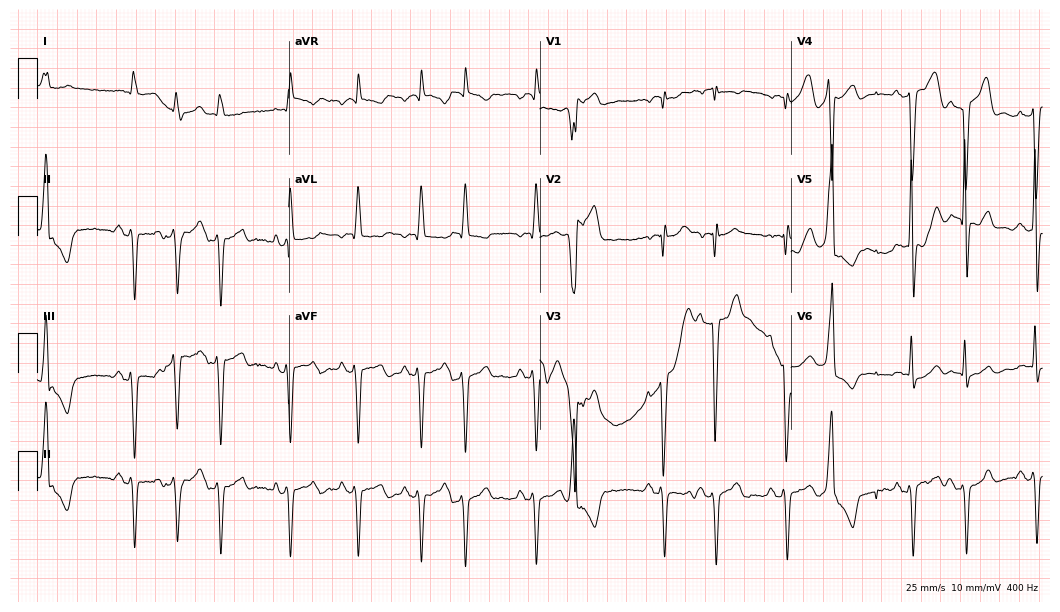
Standard 12-lead ECG recorded from a 64-year-old male patient (10.2-second recording at 400 Hz). None of these six findings is recorded: first-degree AV block, right bundle branch block, left bundle branch block, sinus bradycardia, atrial fibrillation, sinus tachycardia. Findings outside these six are not listed.